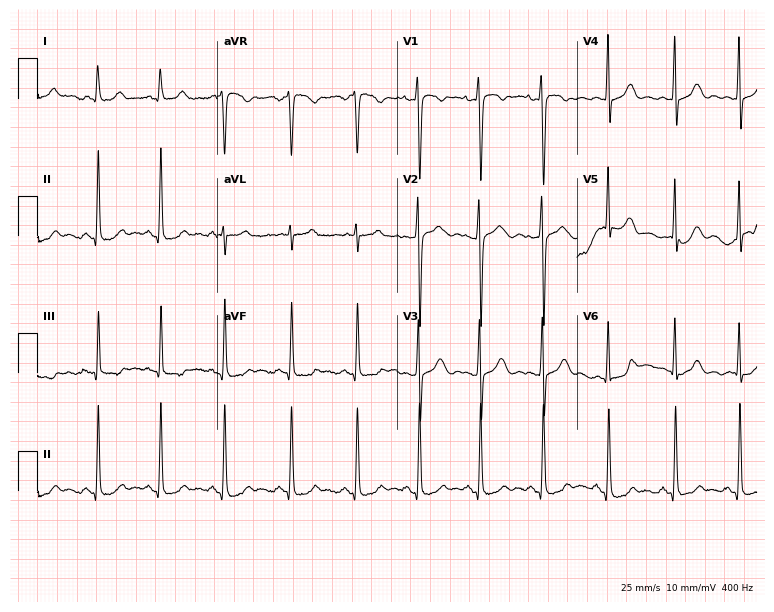
Electrocardiogram (7.3-second recording at 400 Hz), a female patient, 25 years old. Of the six screened findings (first-degree AV block, right bundle branch block, left bundle branch block, sinus bradycardia, atrial fibrillation, sinus tachycardia), none is recorded.